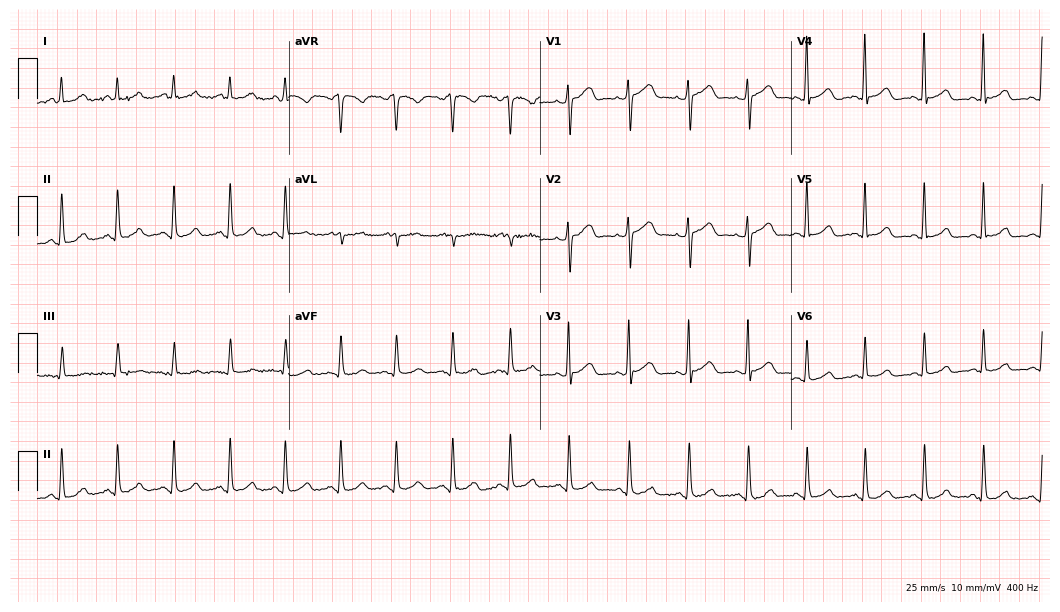
Resting 12-lead electrocardiogram. Patient: a 40-year-old woman. The tracing shows sinus tachycardia (a sinus rate of 100 beats per minute or more).